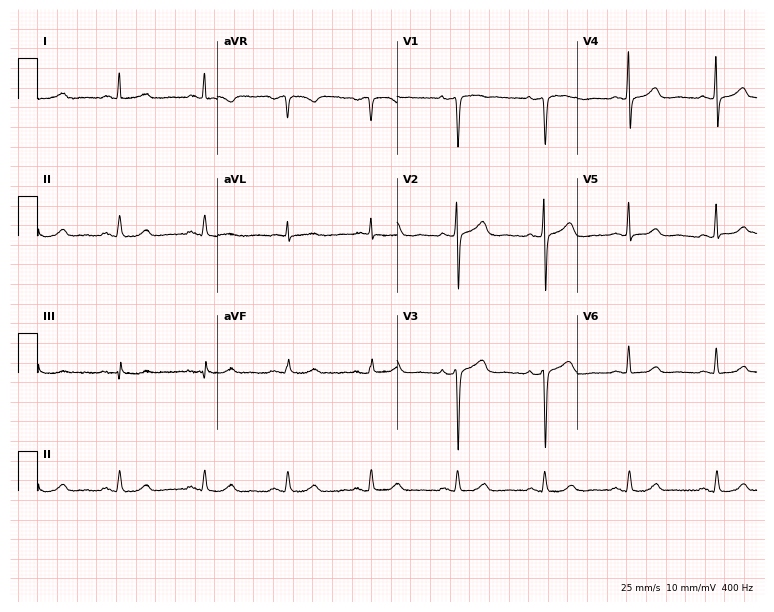
12-lead ECG from a 47-year-old woman (7.3-second recording at 400 Hz). Recorded interpretation: within normal limits.